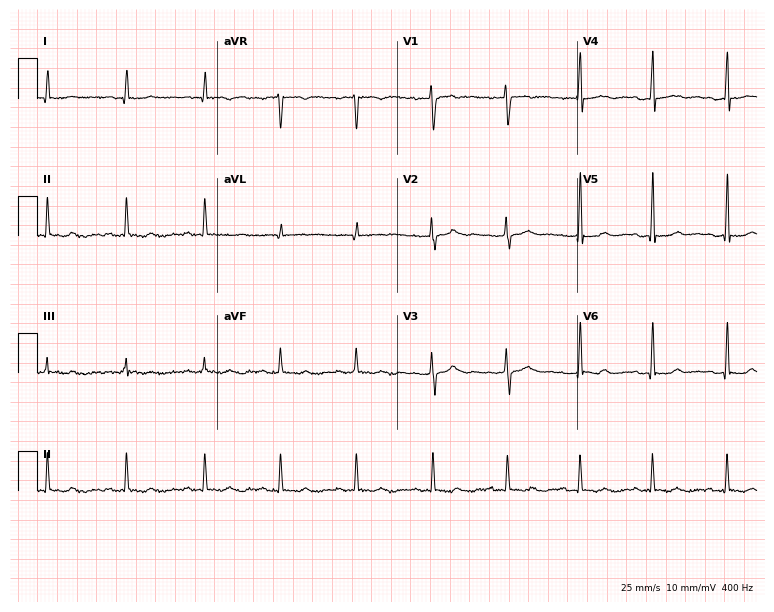
Electrocardiogram (7.3-second recording at 400 Hz), a 32-year-old woman. Of the six screened findings (first-degree AV block, right bundle branch block, left bundle branch block, sinus bradycardia, atrial fibrillation, sinus tachycardia), none is recorded.